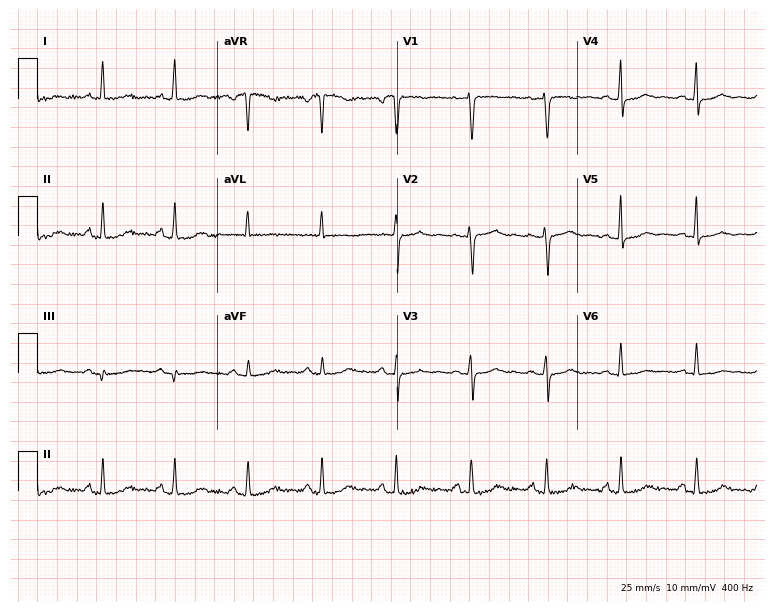
12-lead ECG from a 53-year-old woman. Recorded interpretation: within normal limits.